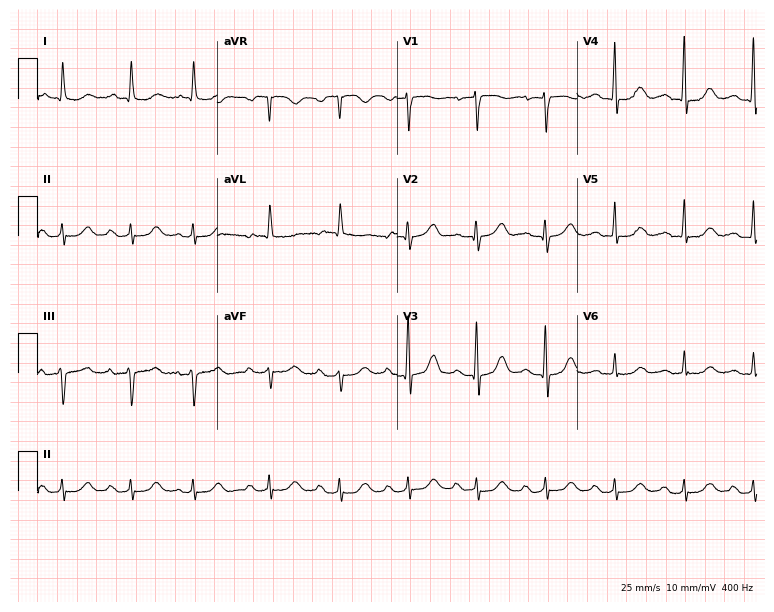
Electrocardiogram (7.3-second recording at 400 Hz), an 80-year-old male. Of the six screened findings (first-degree AV block, right bundle branch block (RBBB), left bundle branch block (LBBB), sinus bradycardia, atrial fibrillation (AF), sinus tachycardia), none is recorded. Findings outside these six are not listed.